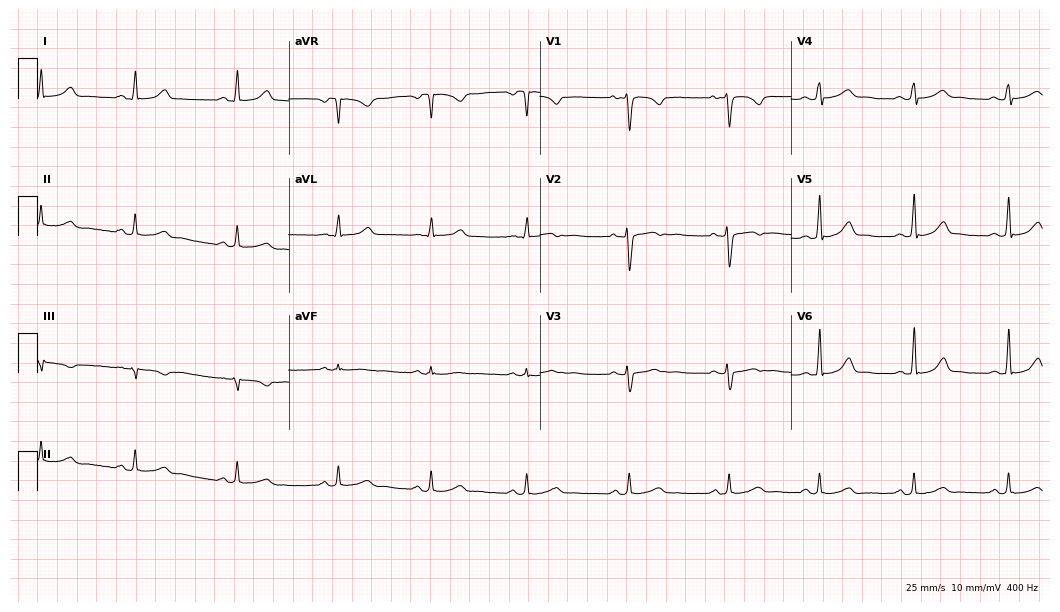
12-lead ECG (10.2-second recording at 400 Hz) from a 31-year-old woman. Labelled as a normal ECG.